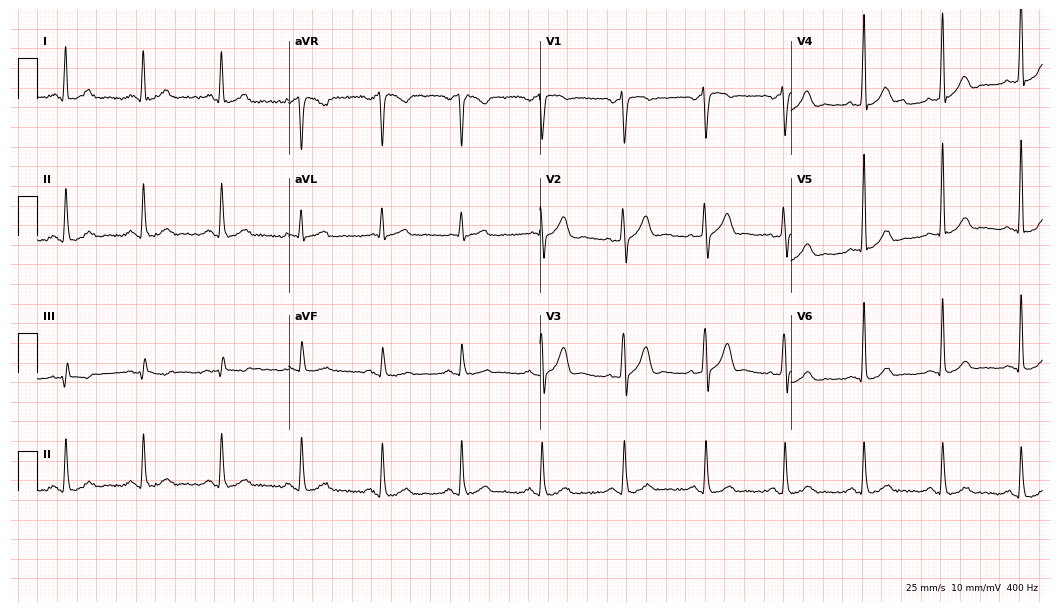
12-lead ECG from a male, 39 years old (10.2-second recording at 400 Hz). Recorded interpretation: within normal limits.